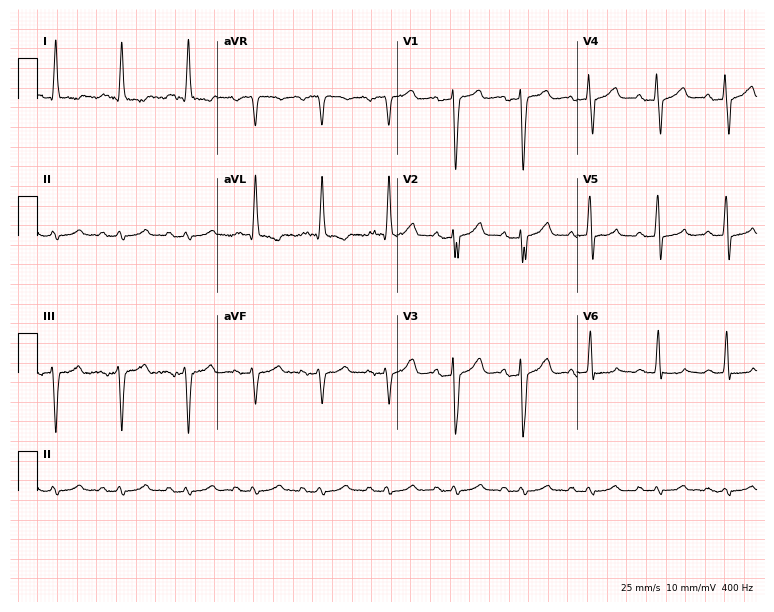
Electrocardiogram (7.3-second recording at 400 Hz), an 85-year-old man. Of the six screened findings (first-degree AV block, right bundle branch block (RBBB), left bundle branch block (LBBB), sinus bradycardia, atrial fibrillation (AF), sinus tachycardia), none is recorded. Other findings, if any, are not listed.